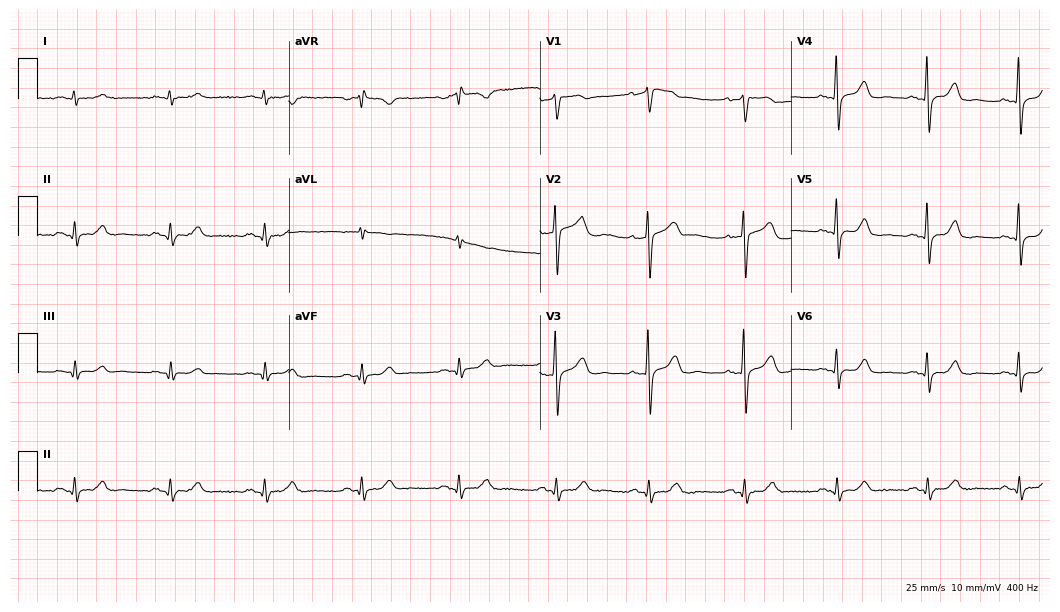
12-lead ECG from a 56-year-old man. No first-degree AV block, right bundle branch block, left bundle branch block, sinus bradycardia, atrial fibrillation or sinus tachycardia recorded for this tracing. Findings outside these six are not listed.